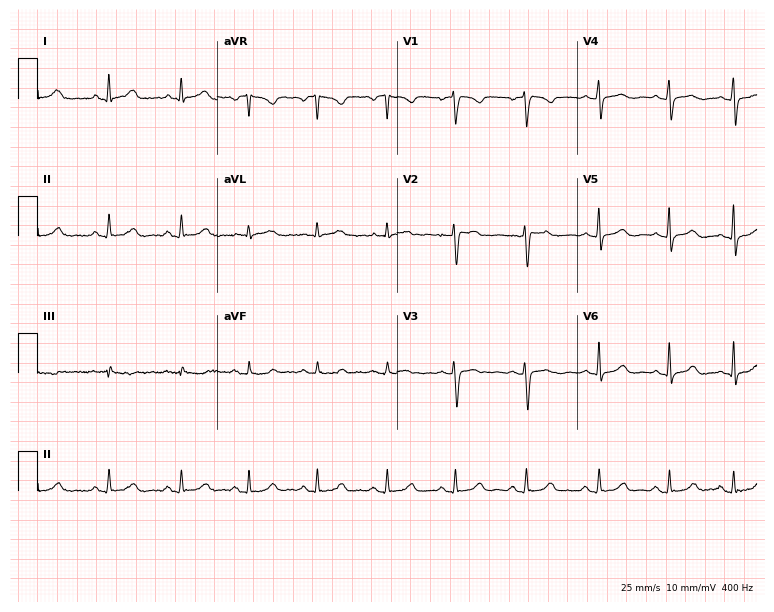
12-lead ECG from a 35-year-old female patient. Labelled as a normal ECG.